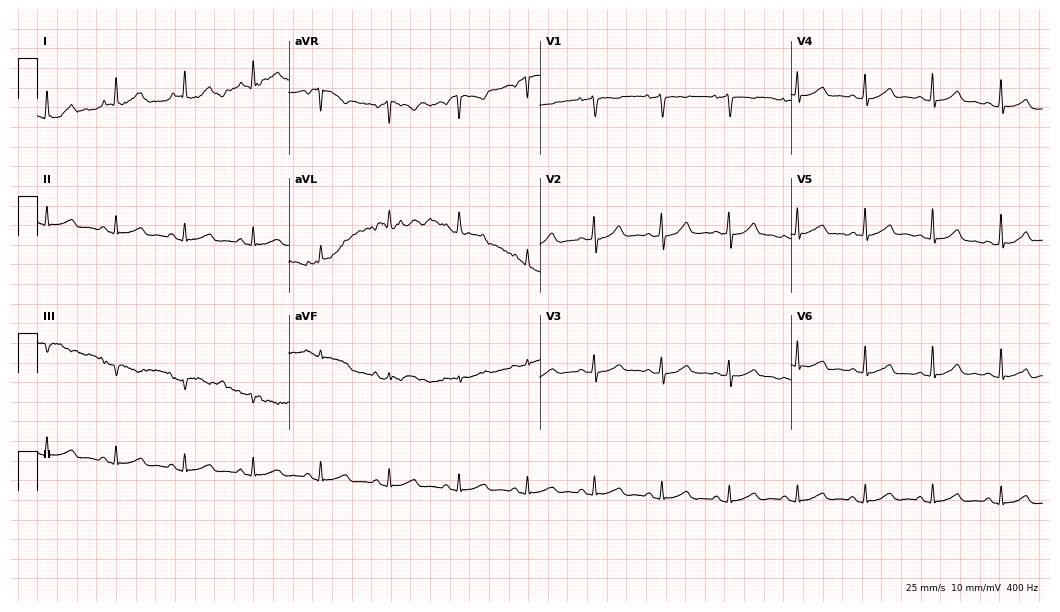
ECG — a woman, 73 years old. Labelled as a normal ECG.